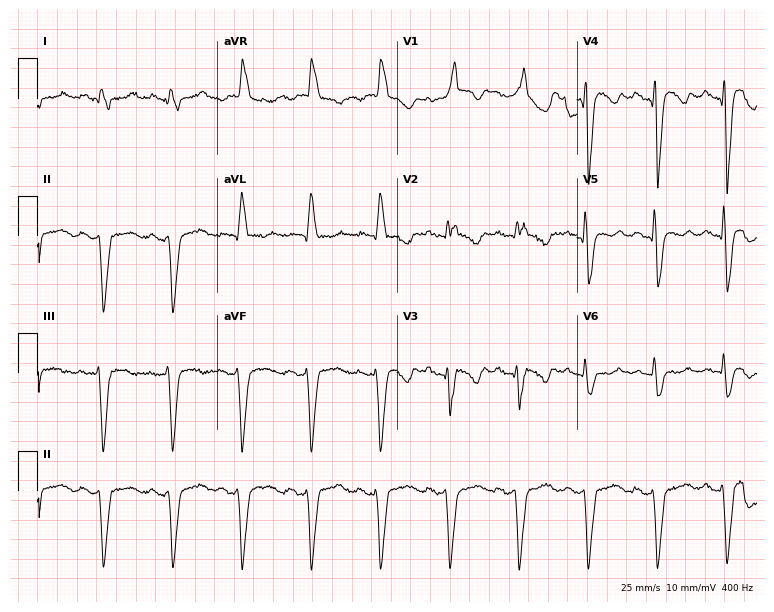
Standard 12-lead ECG recorded from a man, 51 years old. The tracing shows right bundle branch block (RBBB).